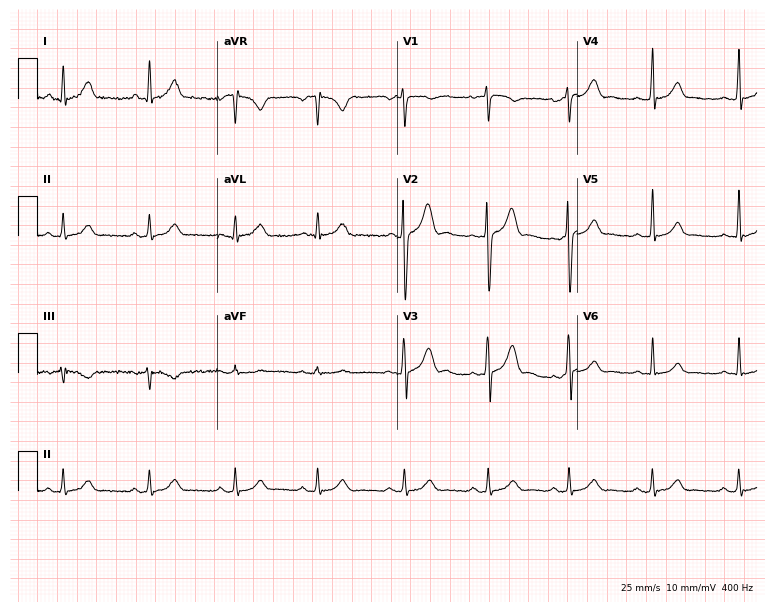
12-lead ECG from a male, 31 years old. Recorded interpretation: within normal limits.